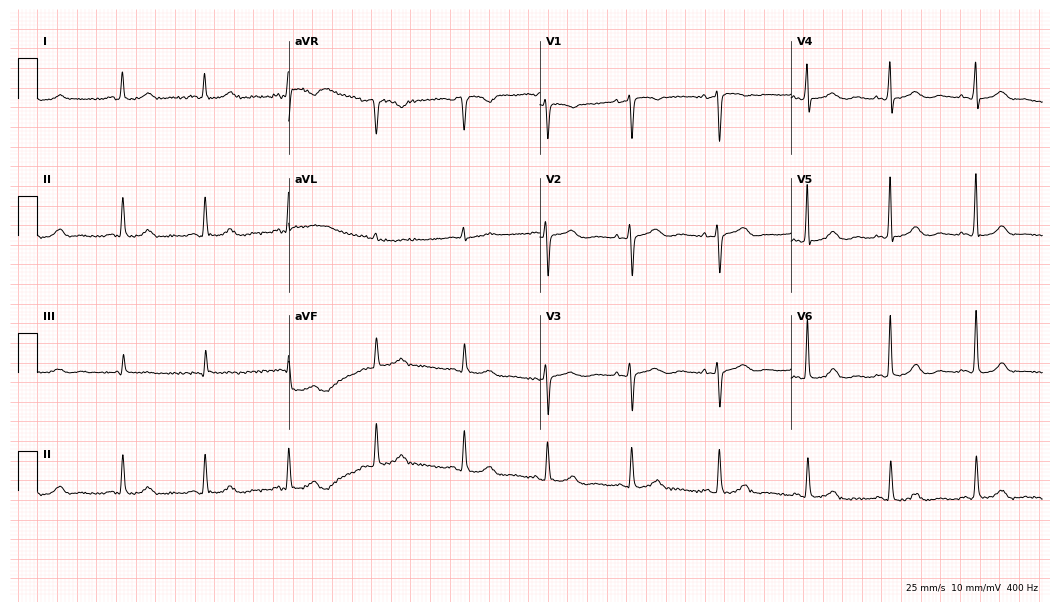
12-lead ECG from a female, 58 years old. Recorded interpretation: within normal limits.